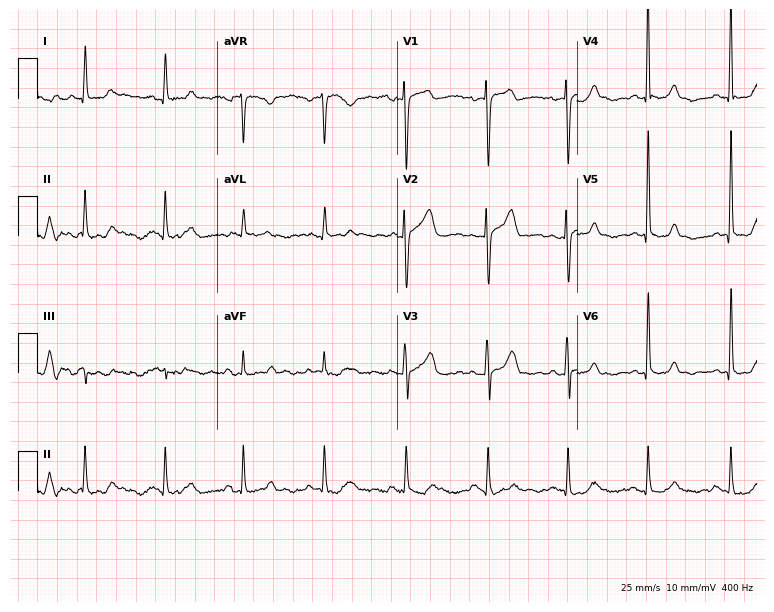
Resting 12-lead electrocardiogram. Patient: a 67-year-old female. Read as a normal ECG.